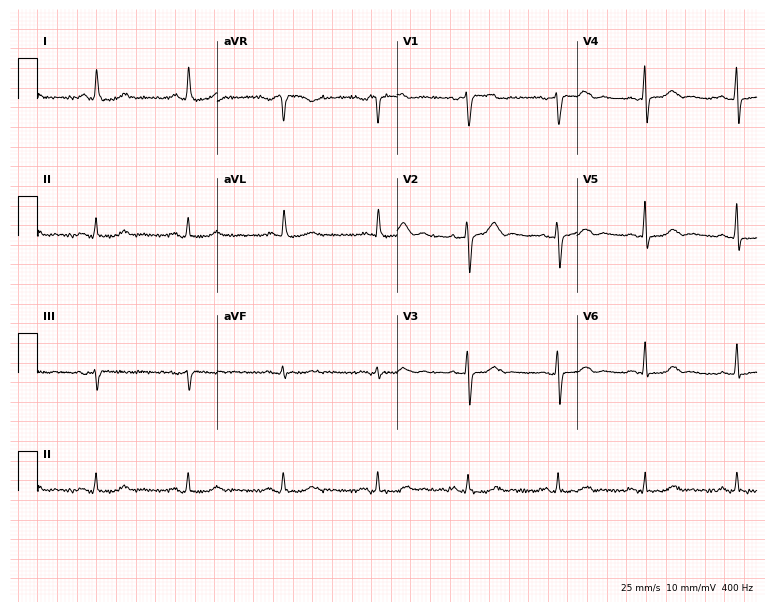
Electrocardiogram, a female, 50 years old. Overall reading on record: normal ECG.